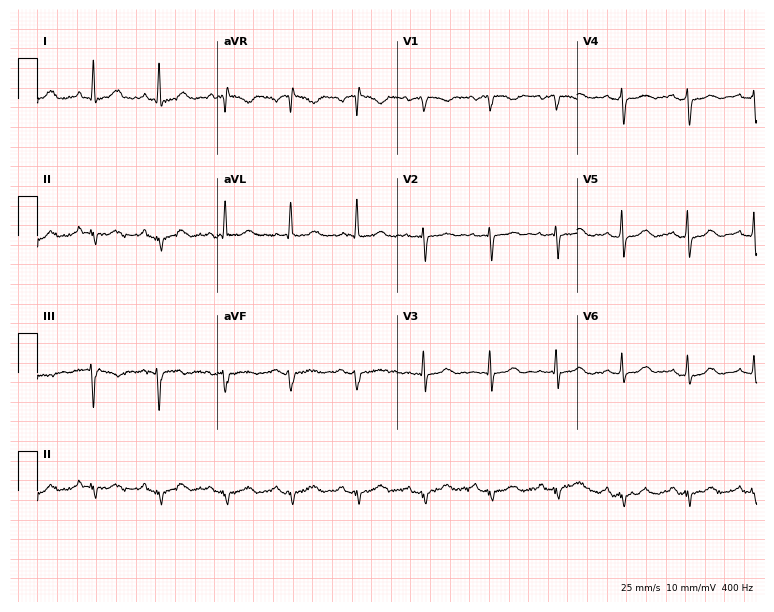
Standard 12-lead ECG recorded from a 70-year-old female. None of these six findings is recorded: first-degree AV block, right bundle branch block, left bundle branch block, sinus bradycardia, atrial fibrillation, sinus tachycardia. Findings outside these six are not listed.